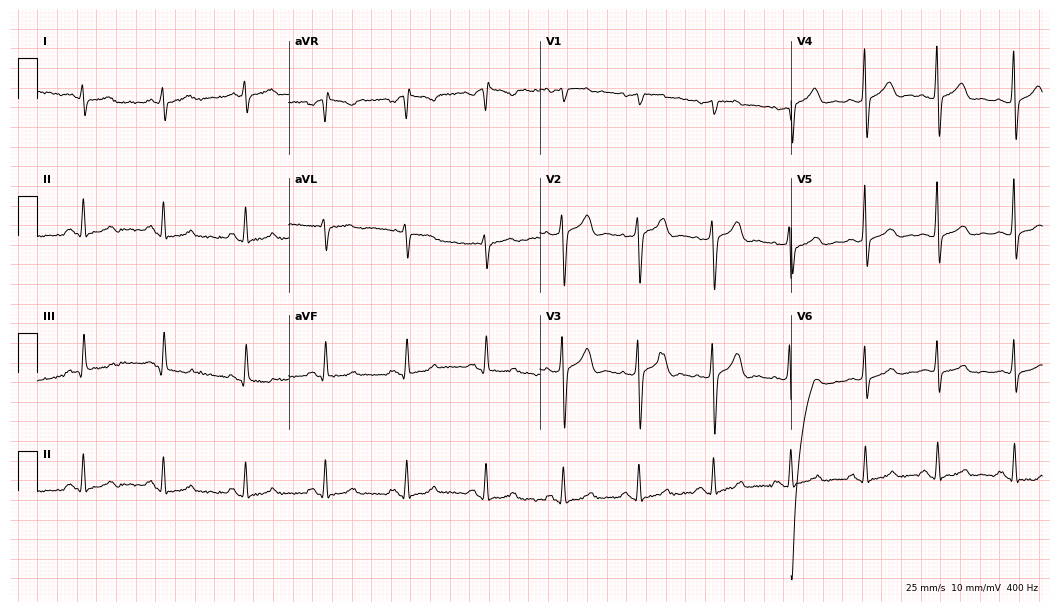
Electrocardiogram (10.2-second recording at 400 Hz), a 44-year-old male. Of the six screened findings (first-degree AV block, right bundle branch block, left bundle branch block, sinus bradycardia, atrial fibrillation, sinus tachycardia), none is recorded.